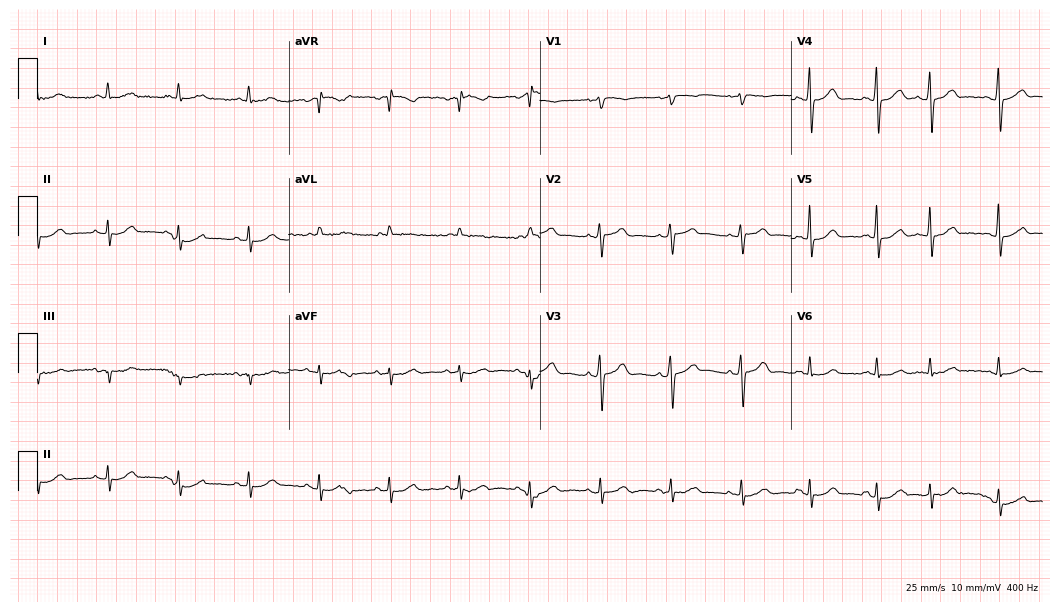
Electrocardiogram (10.2-second recording at 400 Hz), a 72-year-old man. Overall reading on record: normal ECG.